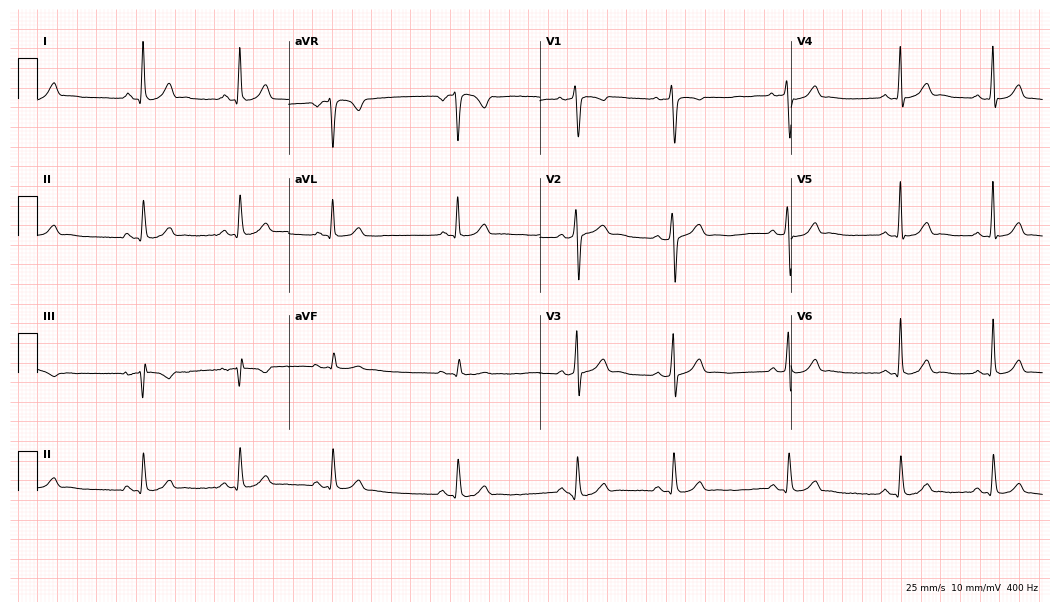
12-lead ECG from a male patient, 27 years old. Labelled as a normal ECG.